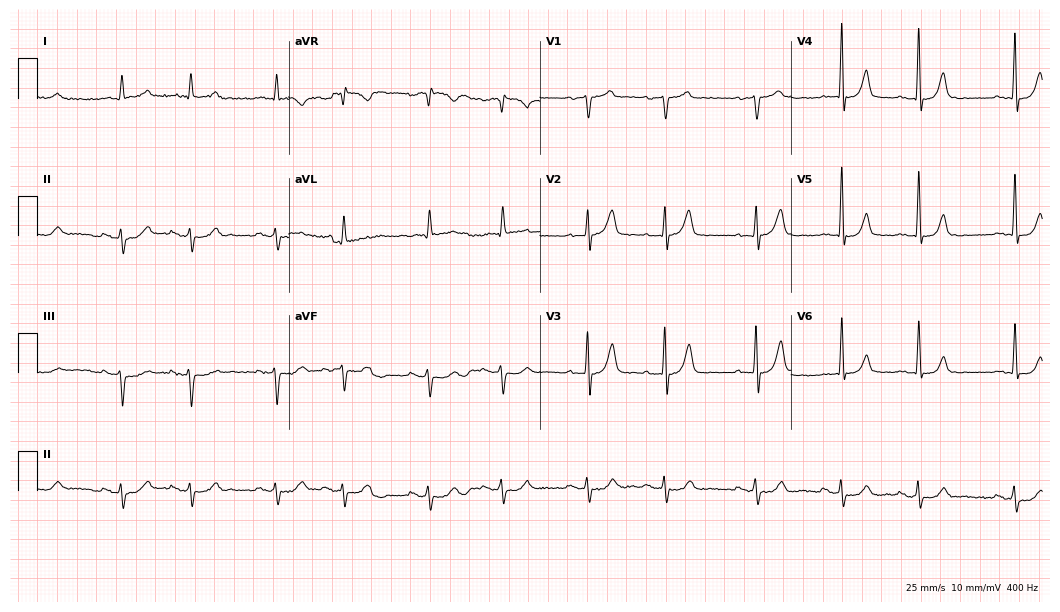
12-lead ECG from a man, 77 years old. No first-degree AV block, right bundle branch block (RBBB), left bundle branch block (LBBB), sinus bradycardia, atrial fibrillation (AF) or sinus tachycardia recorded for this tracing.